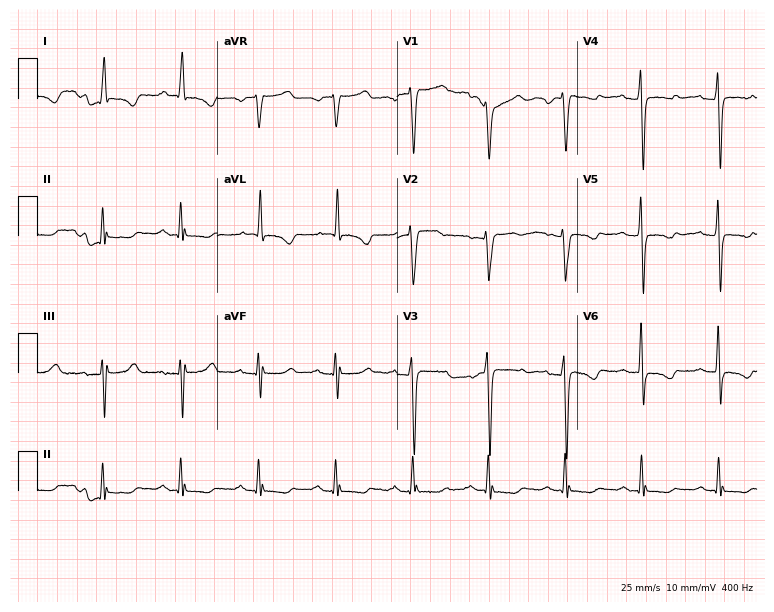
Standard 12-lead ECG recorded from a 65-year-old woman. The tracing shows first-degree AV block.